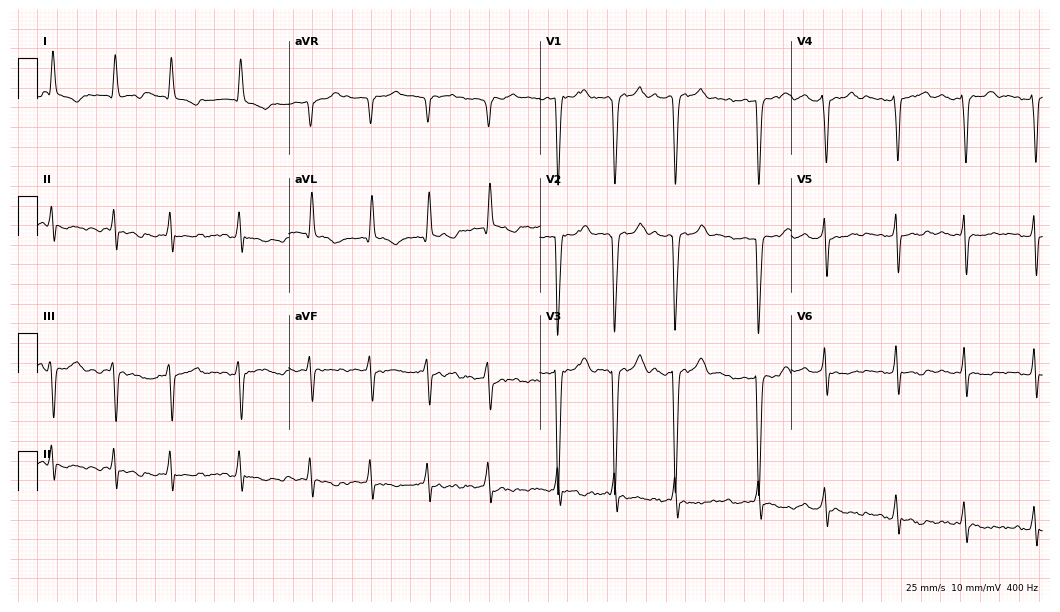
Electrocardiogram (10.2-second recording at 400 Hz), a 72-year-old woman. Interpretation includes atrial fibrillation.